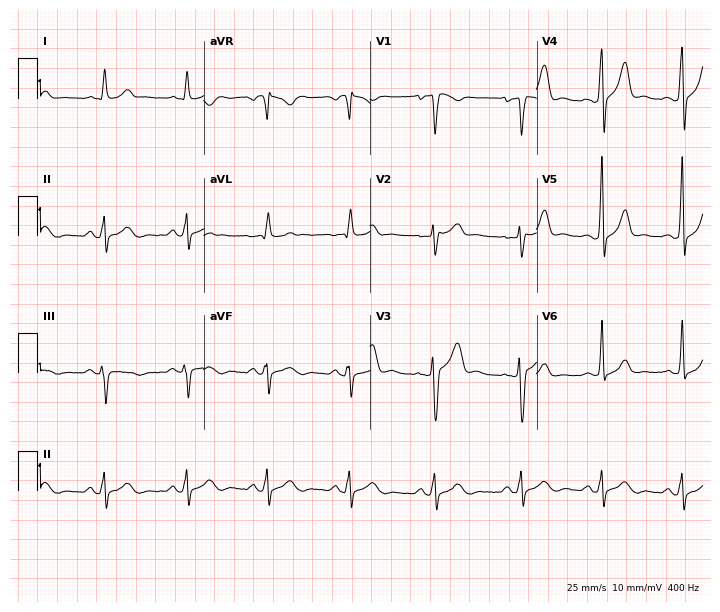
Electrocardiogram (6.8-second recording at 400 Hz), a male patient, 20 years old. Of the six screened findings (first-degree AV block, right bundle branch block, left bundle branch block, sinus bradycardia, atrial fibrillation, sinus tachycardia), none is recorded.